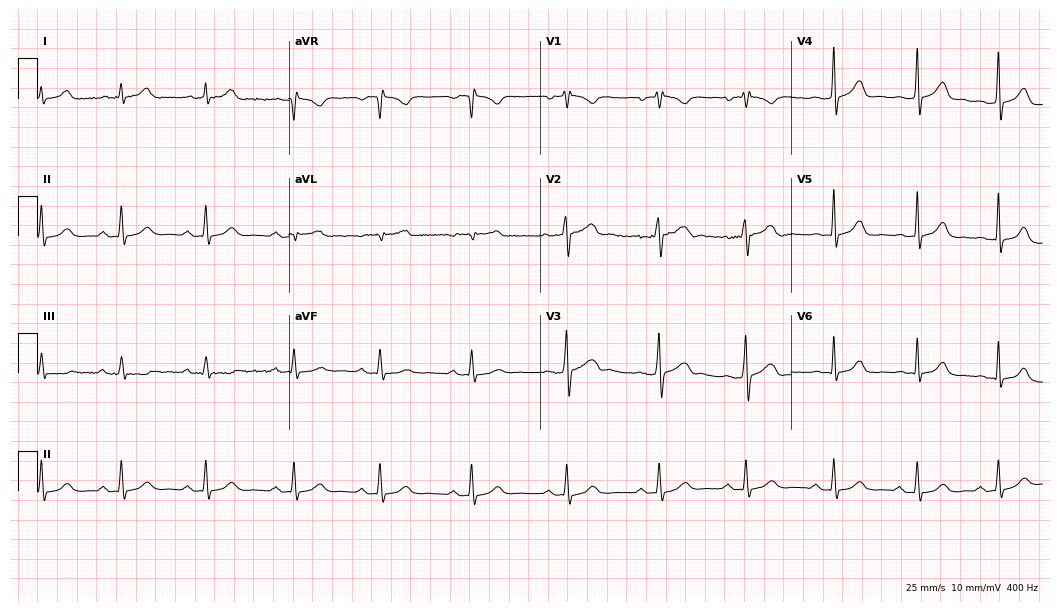
Electrocardiogram, a male patient, 33 years old. Overall reading on record: normal ECG.